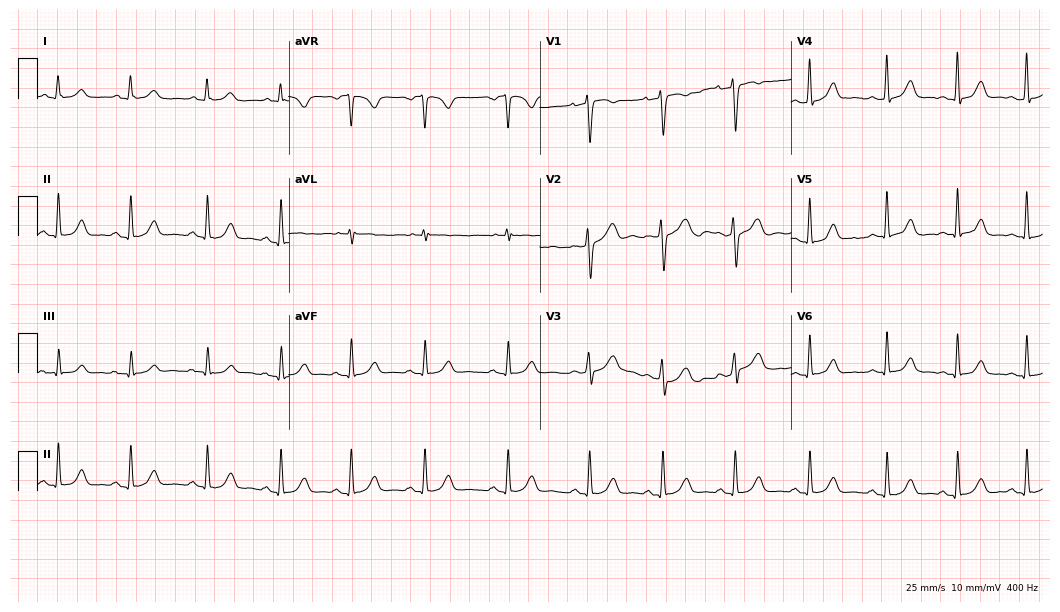
12-lead ECG from a female, 35 years old. Recorded interpretation: within normal limits.